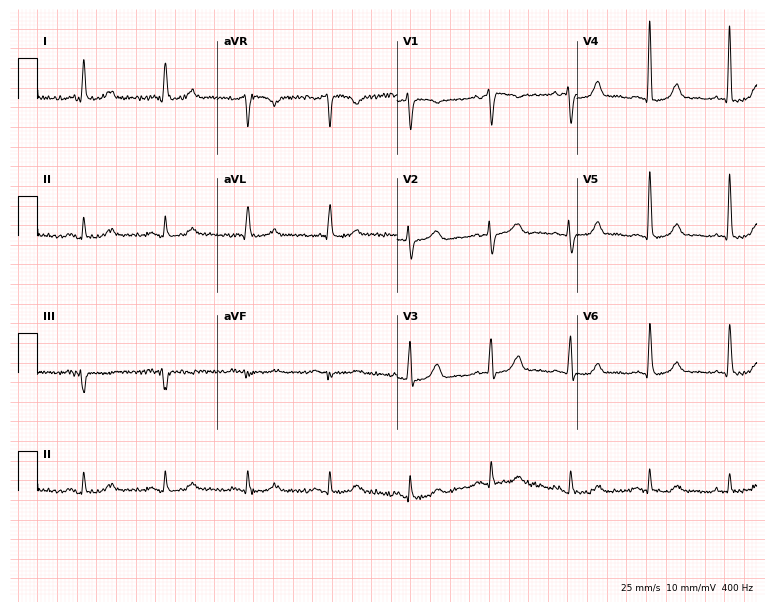
Resting 12-lead electrocardiogram (7.3-second recording at 400 Hz). Patient: a female, 73 years old. Read as a normal ECG.